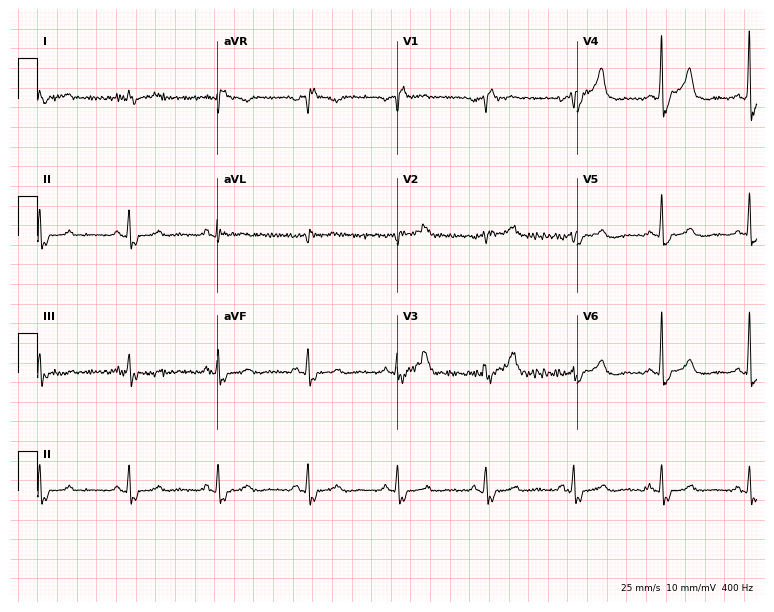
ECG (7.3-second recording at 400 Hz) — a 78-year-old man. Findings include right bundle branch block.